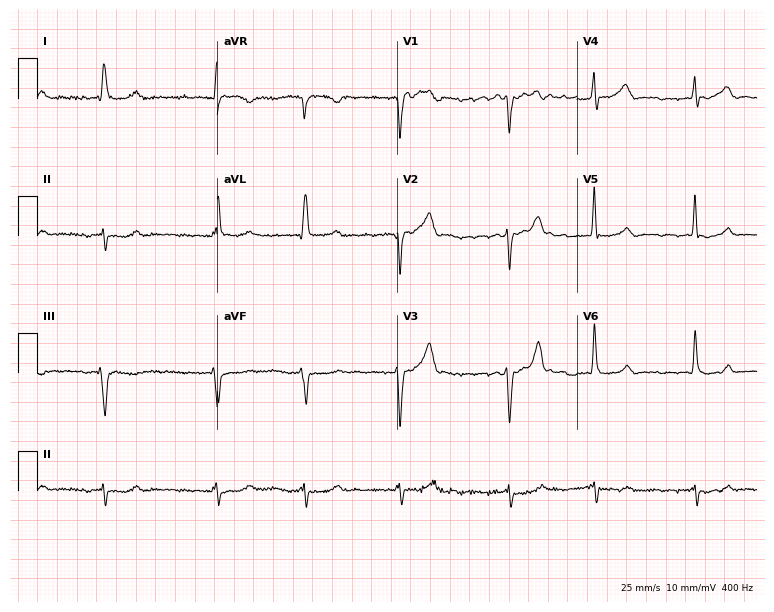
Resting 12-lead electrocardiogram (7.3-second recording at 400 Hz). Patient: an 81-year-old male. The tracing shows atrial fibrillation.